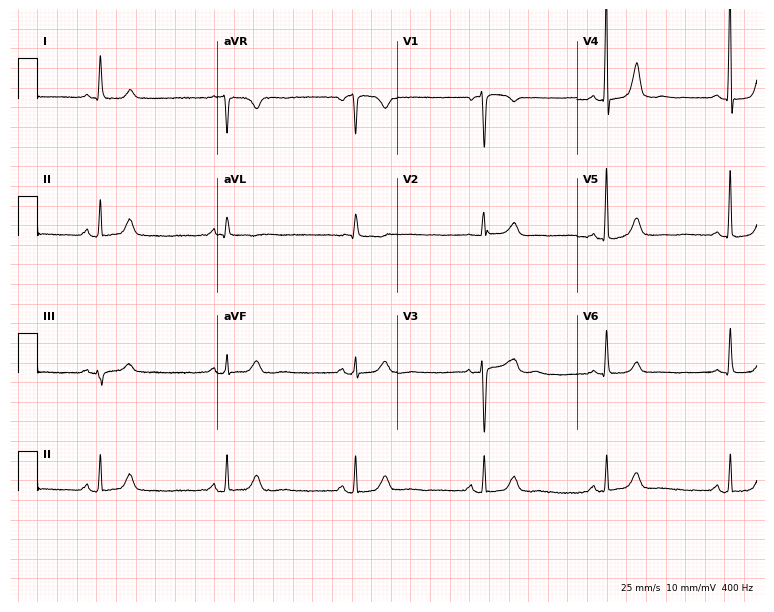
12-lead ECG (7.3-second recording at 400 Hz) from a 76-year-old female patient. Findings include sinus bradycardia (a sinus rate of 50 beats per minute or less).